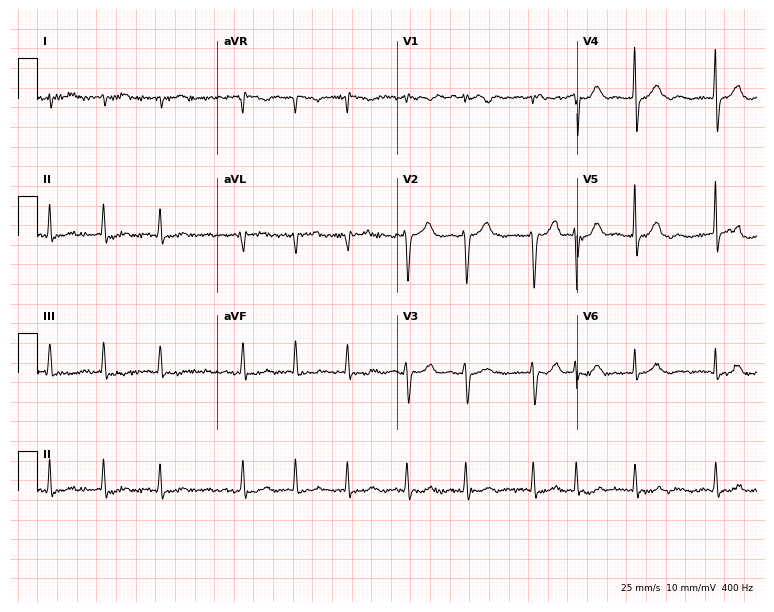
Standard 12-lead ECG recorded from a 72-year-old female patient. The tracing shows atrial fibrillation.